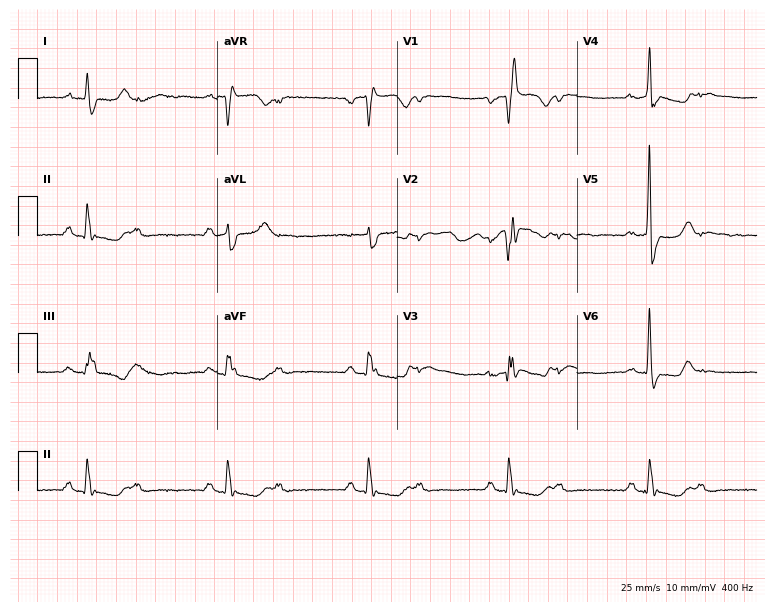
12-lead ECG from a man, 67 years old. Screened for six findings — first-degree AV block, right bundle branch block, left bundle branch block, sinus bradycardia, atrial fibrillation, sinus tachycardia — none is recorded.